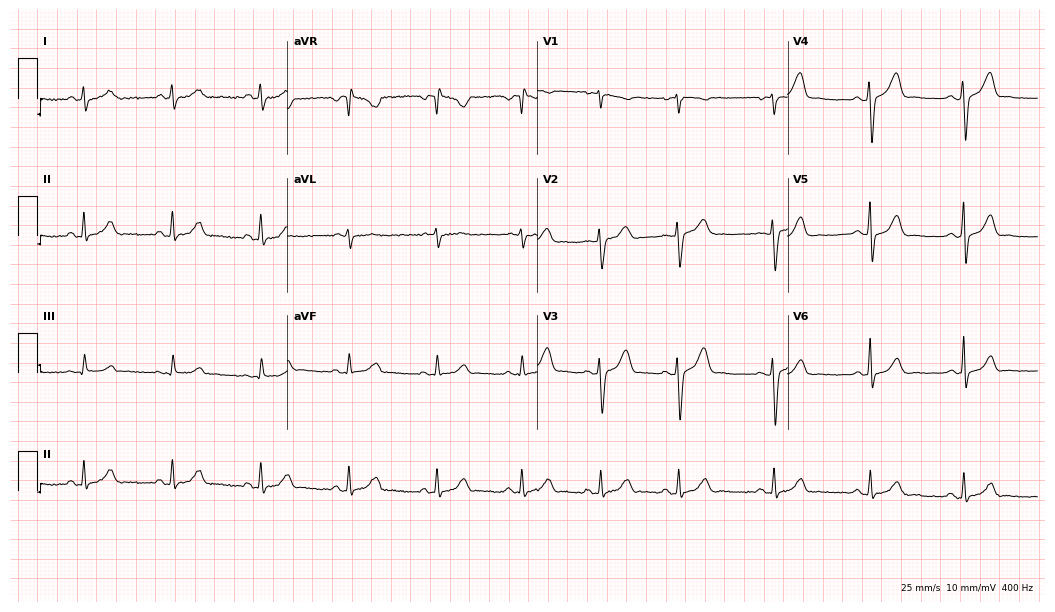
Resting 12-lead electrocardiogram. Patient: a 35-year-old female. None of these six findings is recorded: first-degree AV block, right bundle branch block, left bundle branch block, sinus bradycardia, atrial fibrillation, sinus tachycardia.